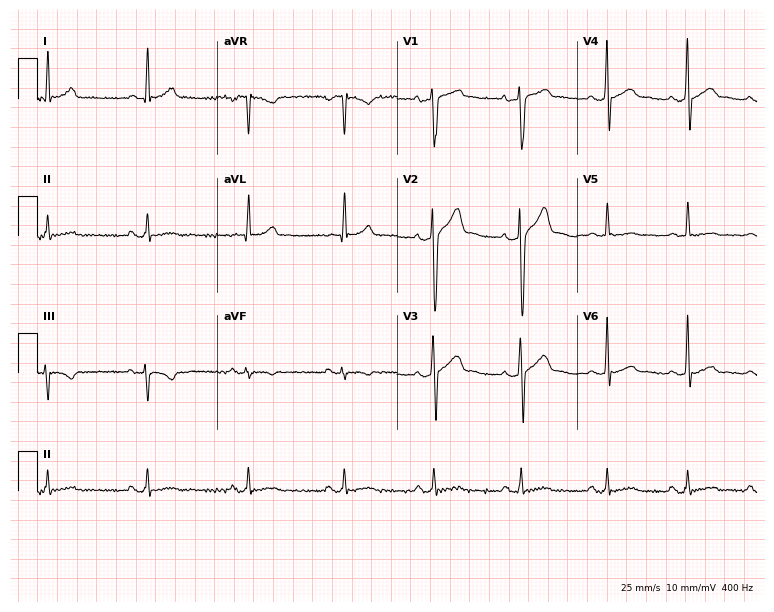
Electrocardiogram, a 33-year-old male. Of the six screened findings (first-degree AV block, right bundle branch block, left bundle branch block, sinus bradycardia, atrial fibrillation, sinus tachycardia), none is recorded.